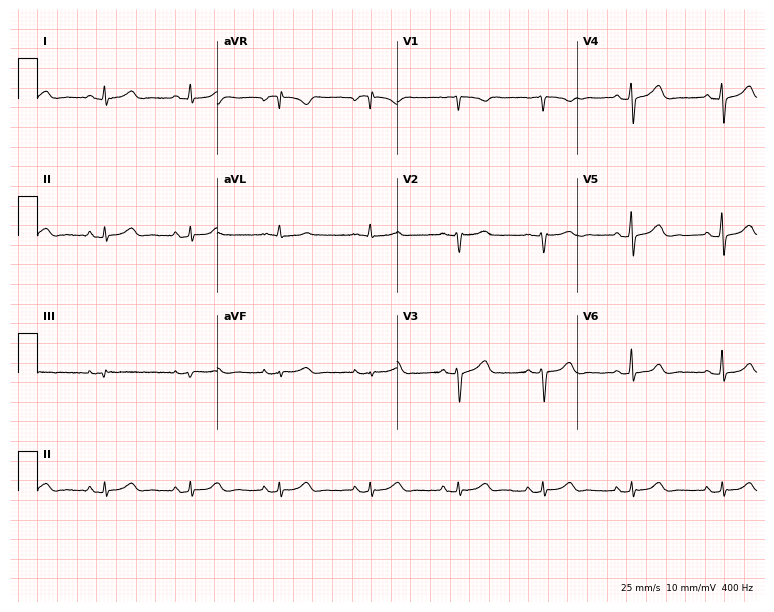
ECG (7.3-second recording at 400 Hz) — a 42-year-old female. Labelled as a normal ECG.